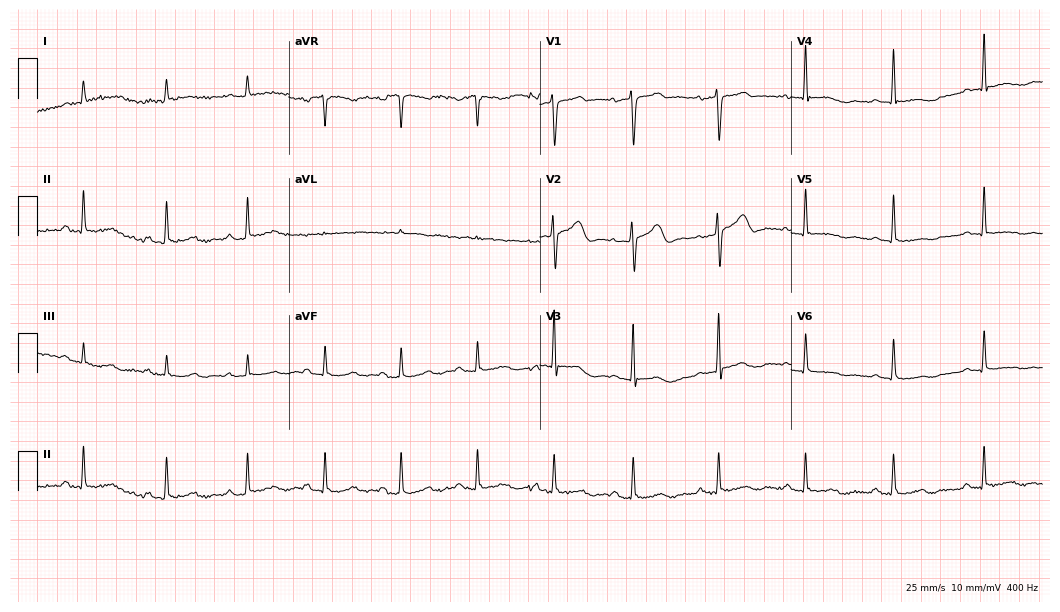
Standard 12-lead ECG recorded from a male patient, 50 years old. None of these six findings is recorded: first-degree AV block, right bundle branch block (RBBB), left bundle branch block (LBBB), sinus bradycardia, atrial fibrillation (AF), sinus tachycardia. Findings outside these six are not listed.